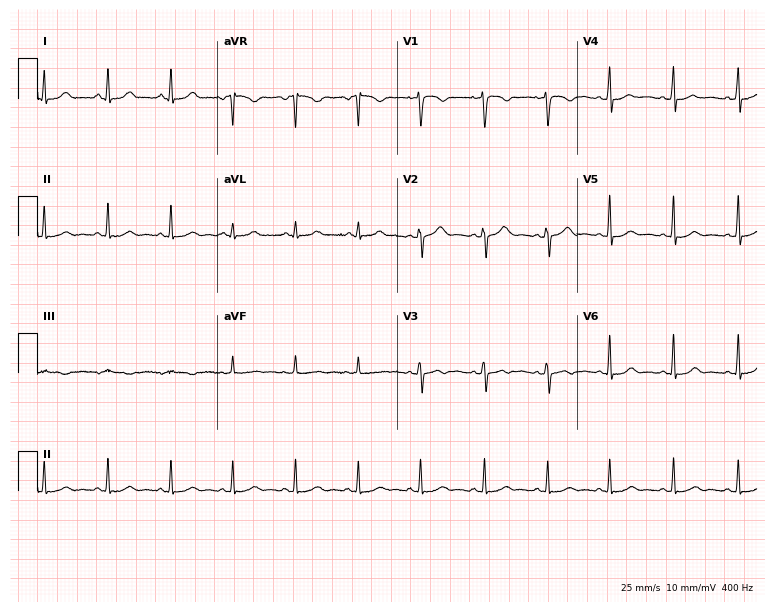
Standard 12-lead ECG recorded from a 24-year-old female patient. None of these six findings is recorded: first-degree AV block, right bundle branch block, left bundle branch block, sinus bradycardia, atrial fibrillation, sinus tachycardia. Findings outside these six are not listed.